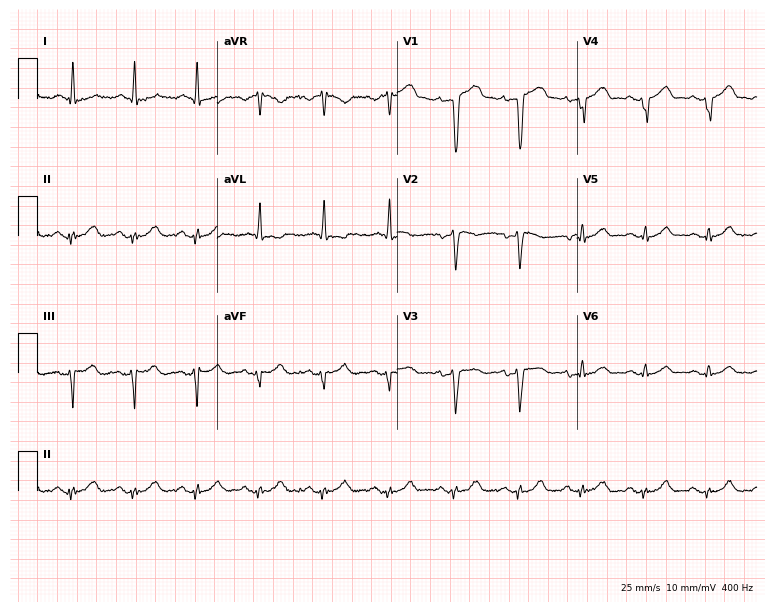
12-lead ECG from a 44-year-old man. Screened for six findings — first-degree AV block, right bundle branch block (RBBB), left bundle branch block (LBBB), sinus bradycardia, atrial fibrillation (AF), sinus tachycardia — none is recorded.